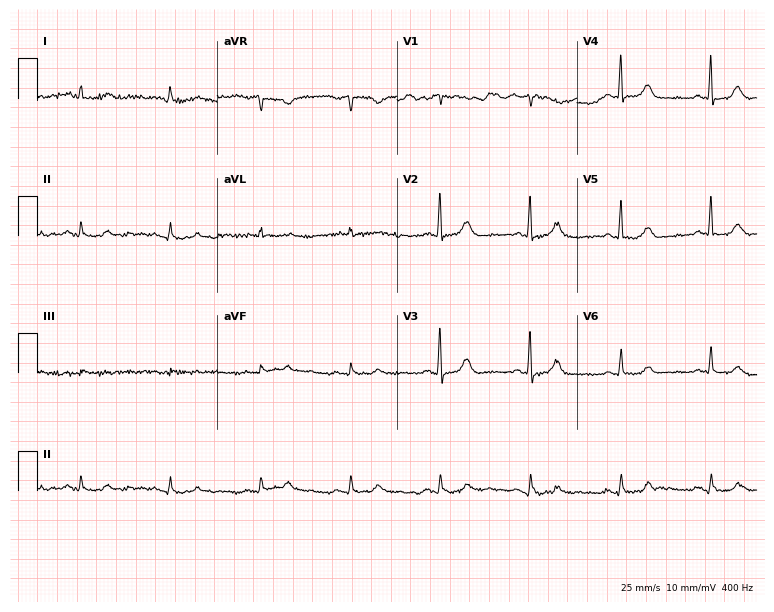
Electrocardiogram (7.3-second recording at 400 Hz), a woman, 73 years old. Overall reading on record: normal ECG.